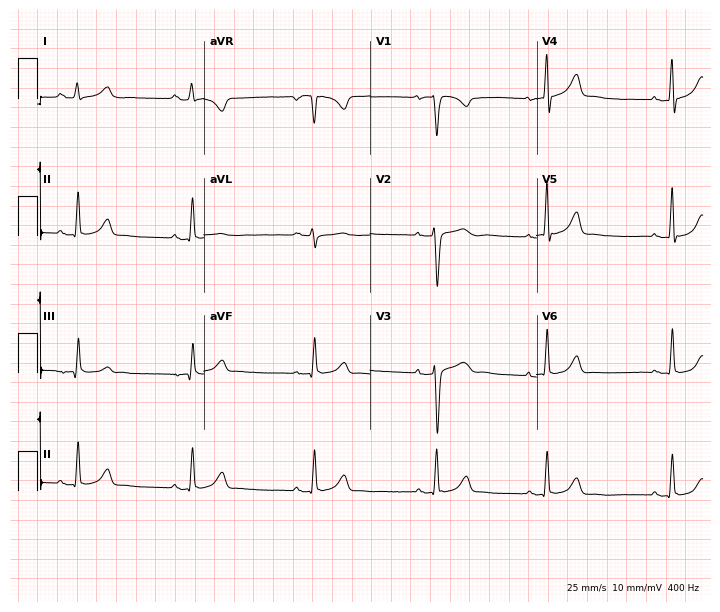
12-lead ECG (6.8-second recording at 400 Hz) from a 30-year-old female. Screened for six findings — first-degree AV block, right bundle branch block, left bundle branch block, sinus bradycardia, atrial fibrillation, sinus tachycardia — none is recorded.